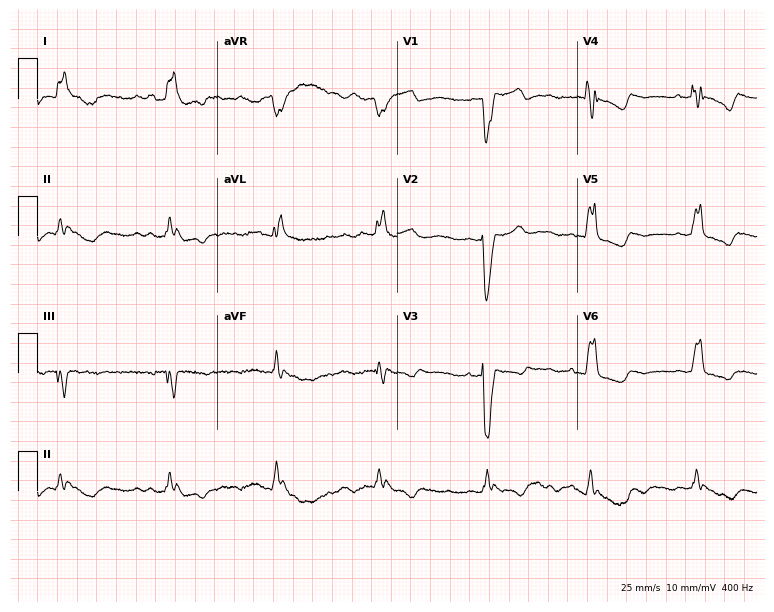
Electrocardiogram, a female patient, 80 years old. Of the six screened findings (first-degree AV block, right bundle branch block, left bundle branch block, sinus bradycardia, atrial fibrillation, sinus tachycardia), none is recorded. Findings outside these six are not listed.